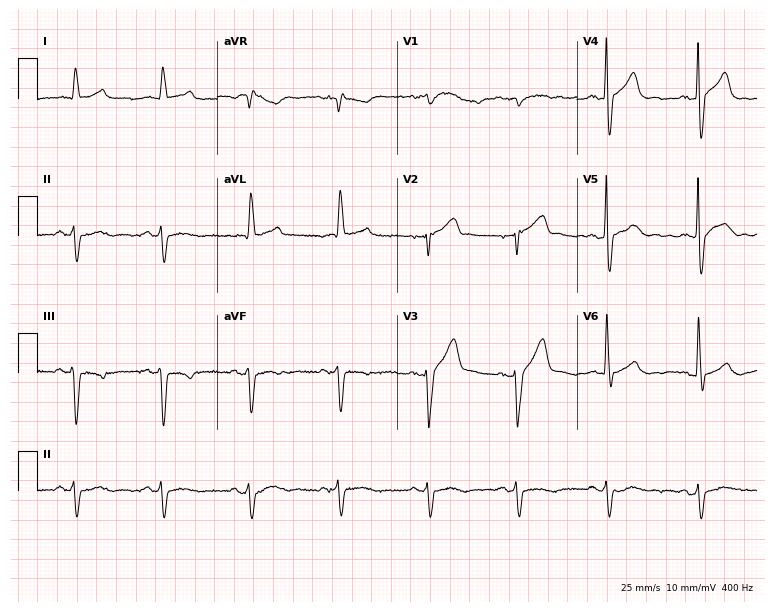
Resting 12-lead electrocardiogram (7.3-second recording at 400 Hz). Patient: a 66-year-old male. None of these six findings is recorded: first-degree AV block, right bundle branch block, left bundle branch block, sinus bradycardia, atrial fibrillation, sinus tachycardia.